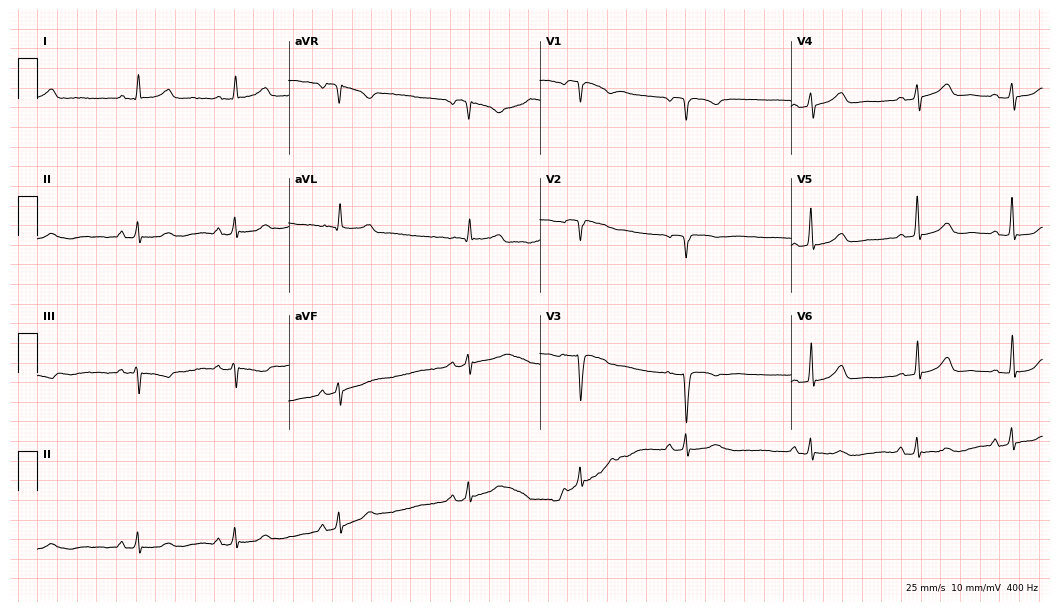
Electrocardiogram, a 56-year-old female patient. Of the six screened findings (first-degree AV block, right bundle branch block (RBBB), left bundle branch block (LBBB), sinus bradycardia, atrial fibrillation (AF), sinus tachycardia), none is recorded.